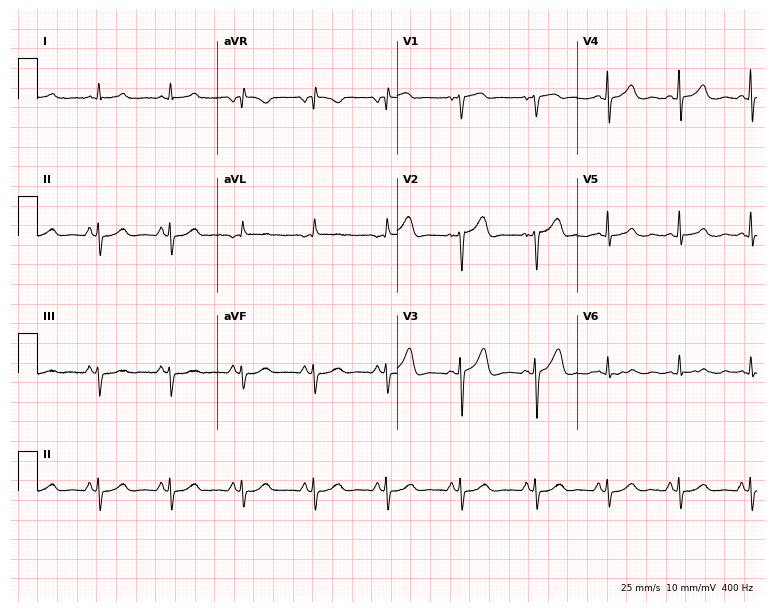
Resting 12-lead electrocardiogram. Patient: a male, 57 years old. None of these six findings is recorded: first-degree AV block, right bundle branch block, left bundle branch block, sinus bradycardia, atrial fibrillation, sinus tachycardia. Other findings, if any, are not listed.